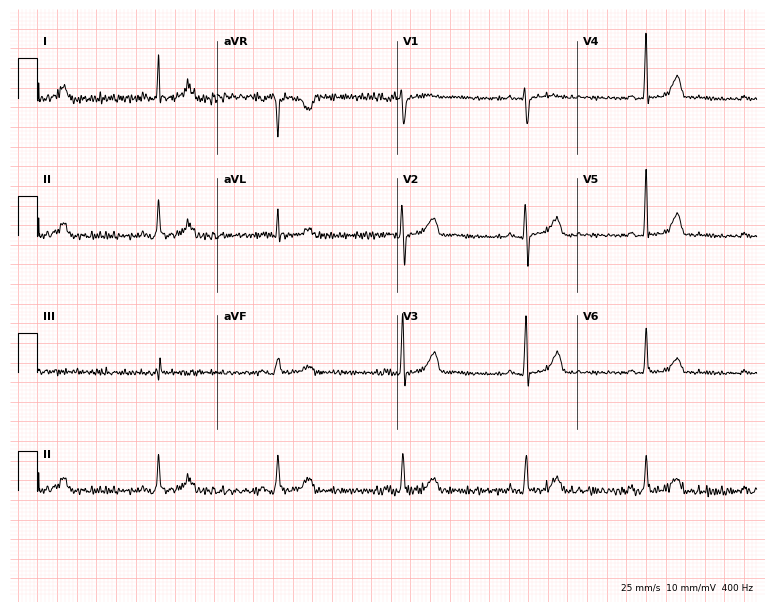
Electrocardiogram, a 49-year-old woman. Of the six screened findings (first-degree AV block, right bundle branch block, left bundle branch block, sinus bradycardia, atrial fibrillation, sinus tachycardia), none is recorded. Findings outside these six are not listed.